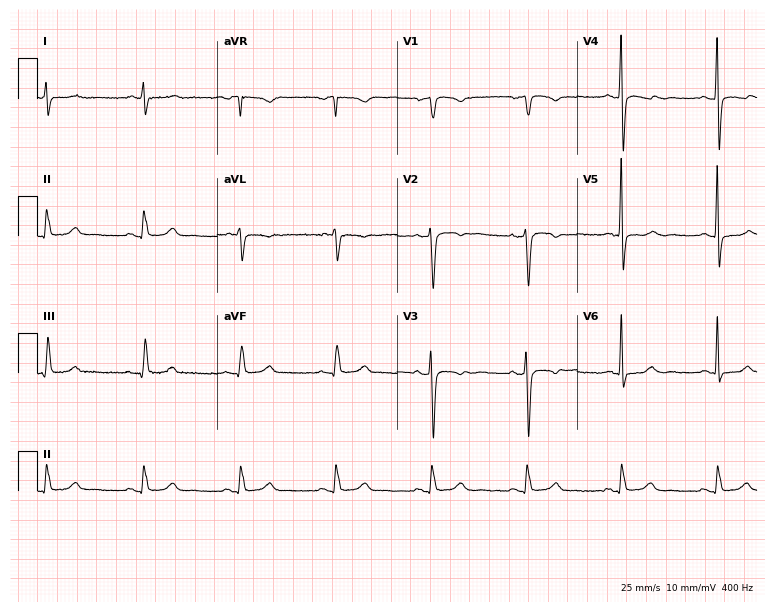
12-lead ECG from a male patient, 55 years old (7.3-second recording at 400 Hz). Recorded interpretation: within normal limits.